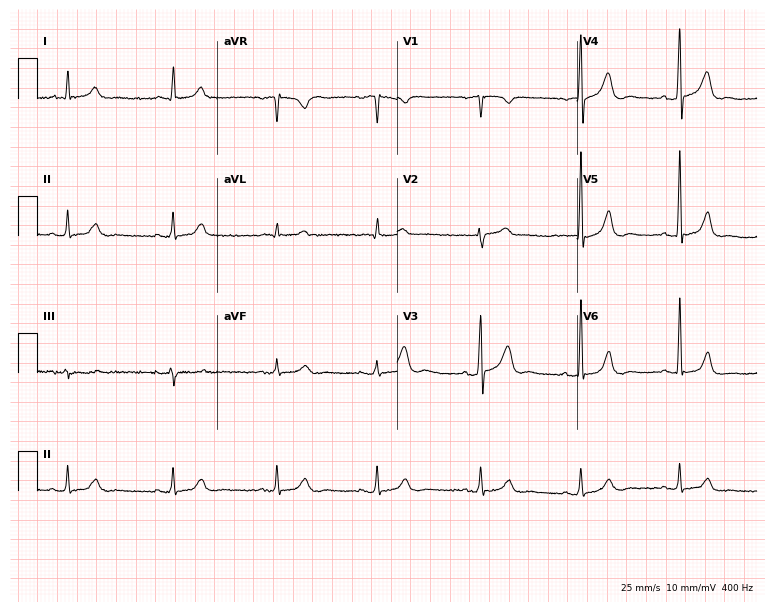
12-lead ECG from a man, 45 years old. Labelled as a normal ECG.